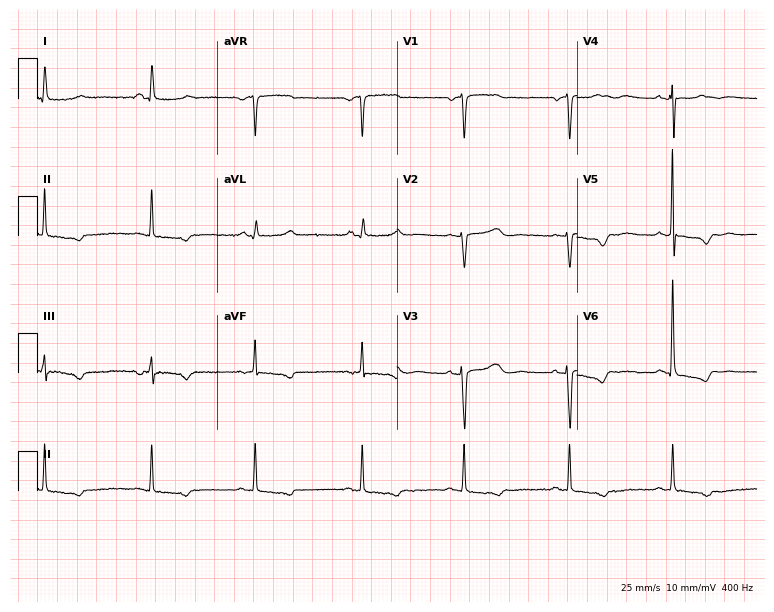
Standard 12-lead ECG recorded from a female, 80 years old (7.3-second recording at 400 Hz). None of these six findings is recorded: first-degree AV block, right bundle branch block, left bundle branch block, sinus bradycardia, atrial fibrillation, sinus tachycardia. Other findings, if any, are not listed.